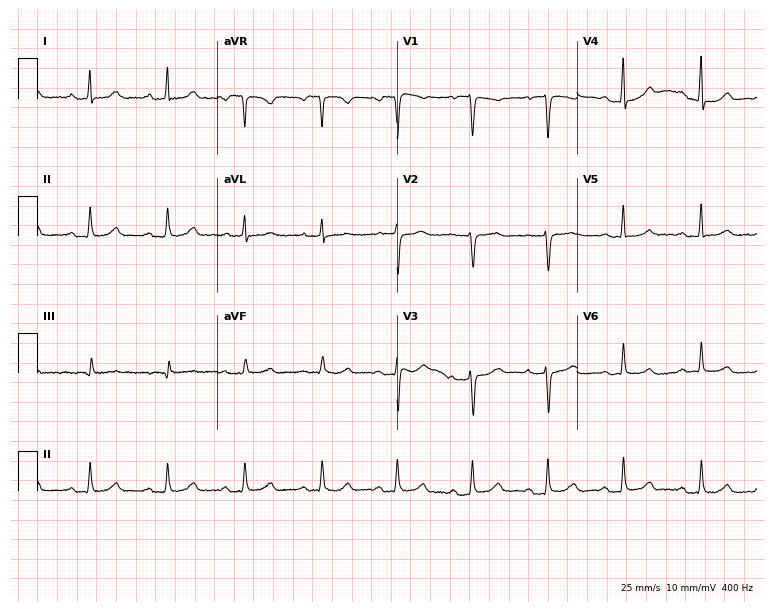
12-lead ECG from a female patient, 32 years old. Labelled as a normal ECG.